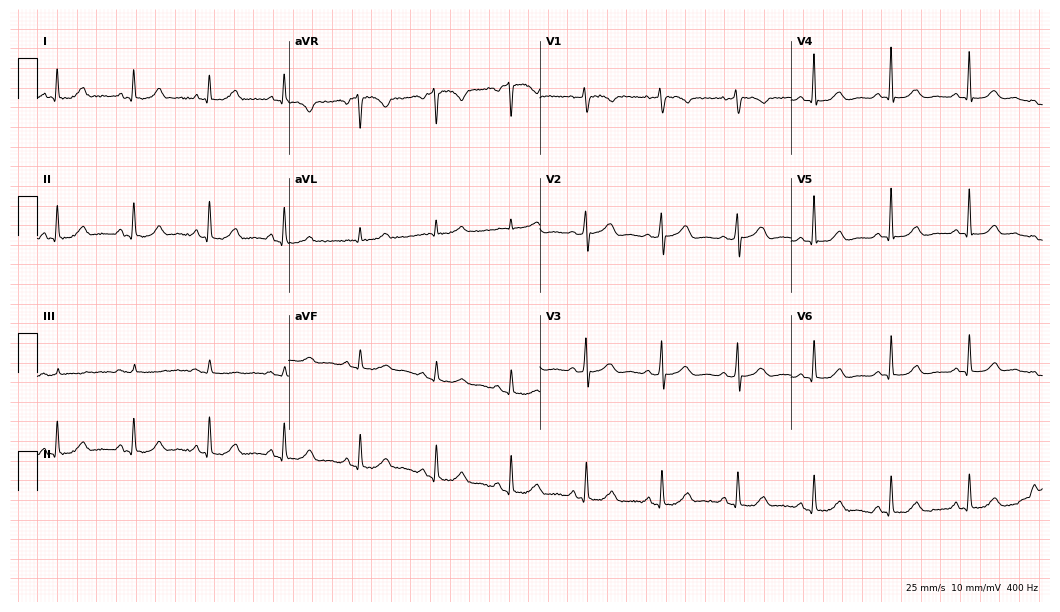
ECG (10.2-second recording at 400 Hz) — a female, 74 years old. Labelled as a normal ECG.